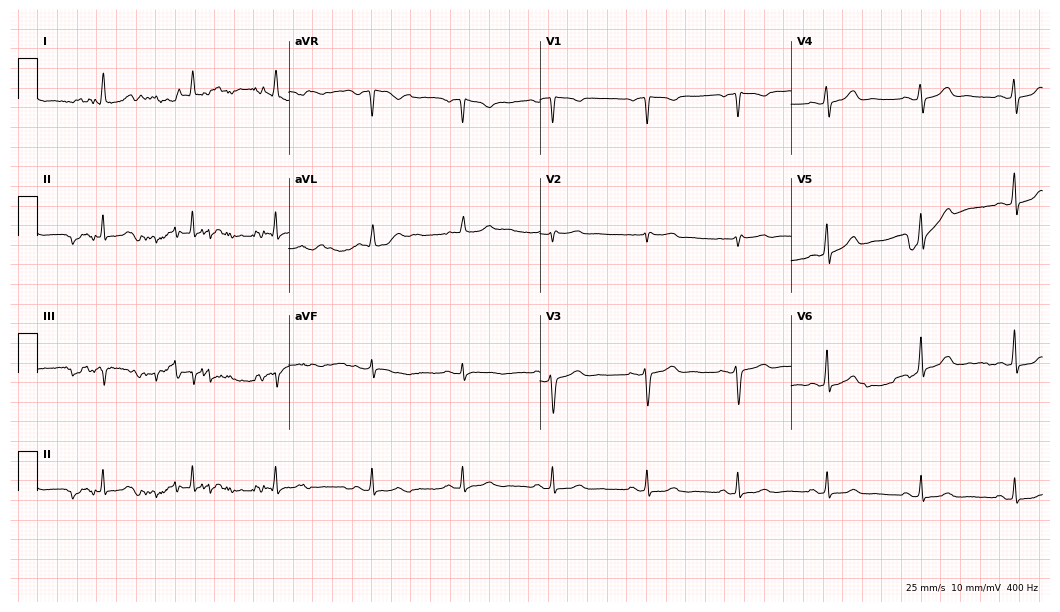
12-lead ECG (10.2-second recording at 400 Hz) from a 42-year-old female patient. Screened for six findings — first-degree AV block, right bundle branch block, left bundle branch block, sinus bradycardia, atrial fibrillation, sinus tachycardia — none is recorded.